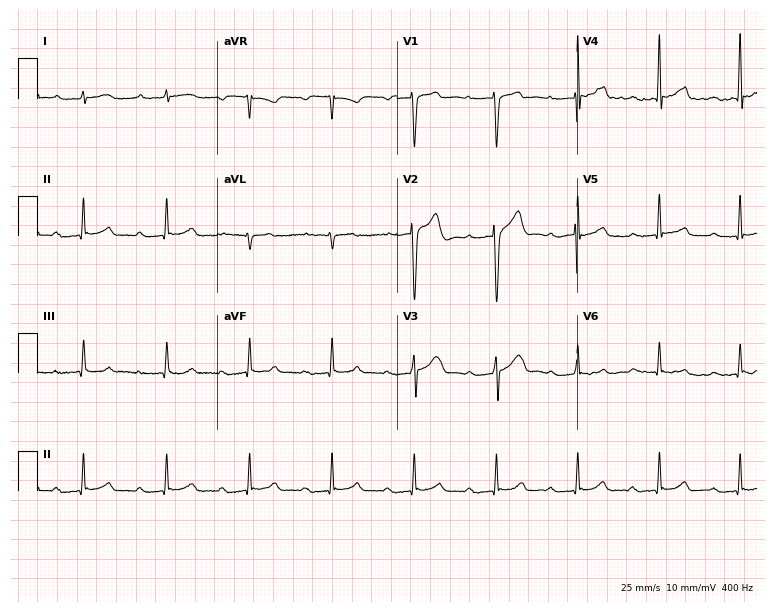
Electrocardiogram, a 35-year-old male. Interpretation includes first-degree AV block.